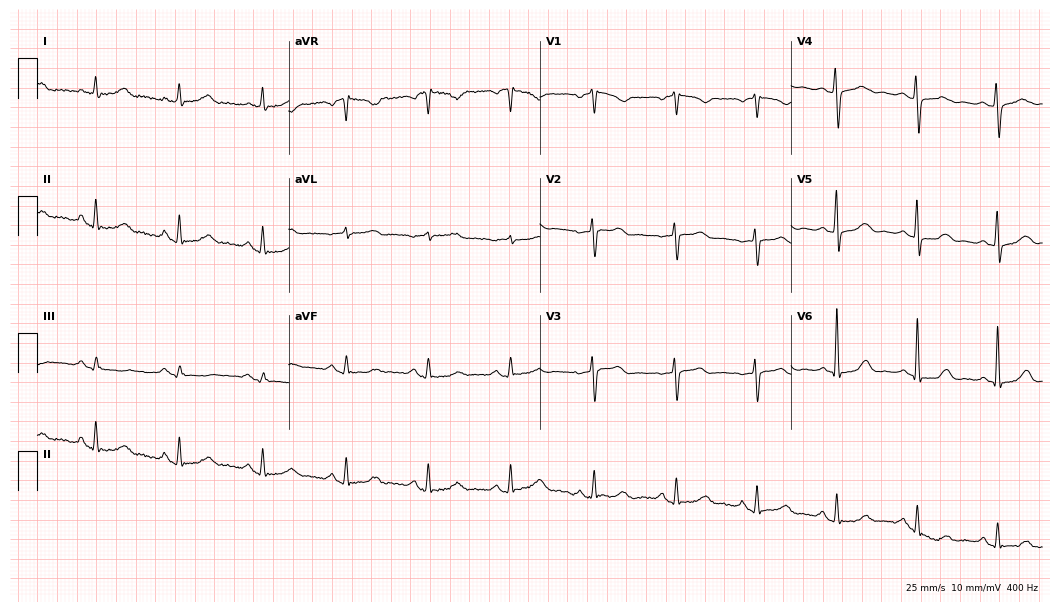
12-lead ECG from a 60-year-old female patient. Labelled as a normal ECG.